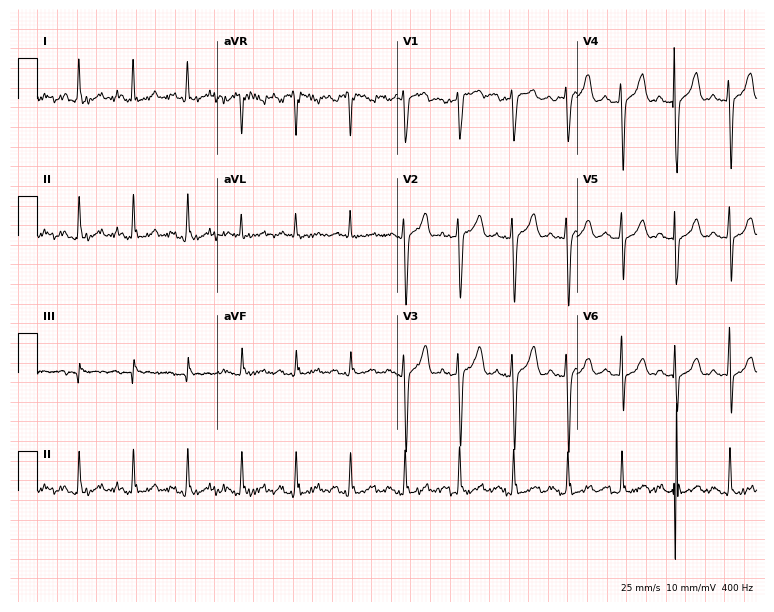
Electrocardiogram (7.3-second recording at 400 Hz), a 62-year-old male patient. Interpretation includes sinus tachycardia (a sinus rate of 100 beats per minute or more).